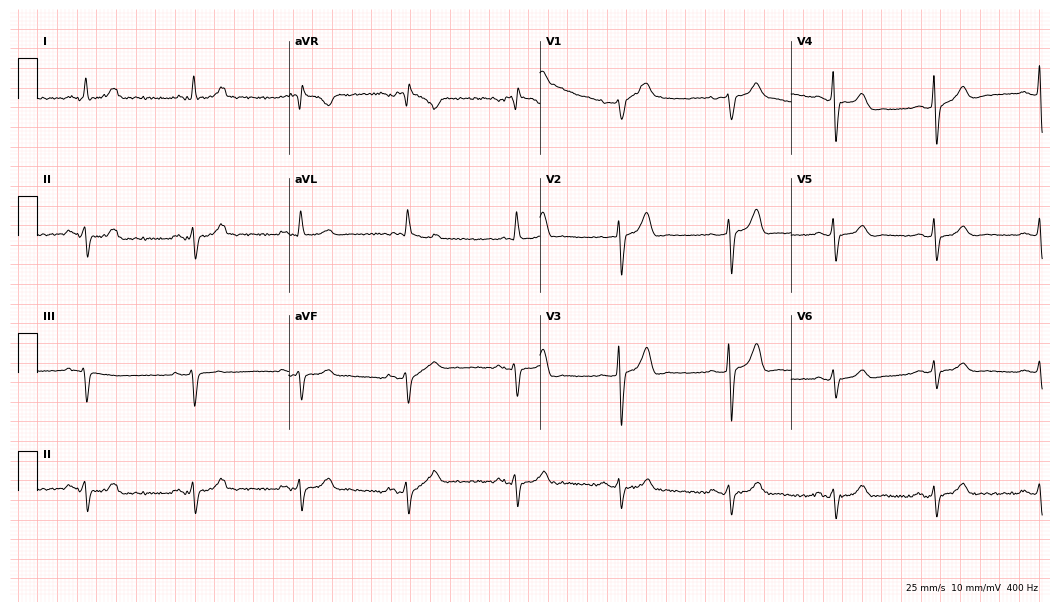
ECG — a male patient, 70 years old. Screened for six findings — first-degree AV block, right bundle branch block, left bundle branch block, sinus bradycardia, atrial fibrillation, sinus tachycardia — none is recorded. Only these six findings were labelled.